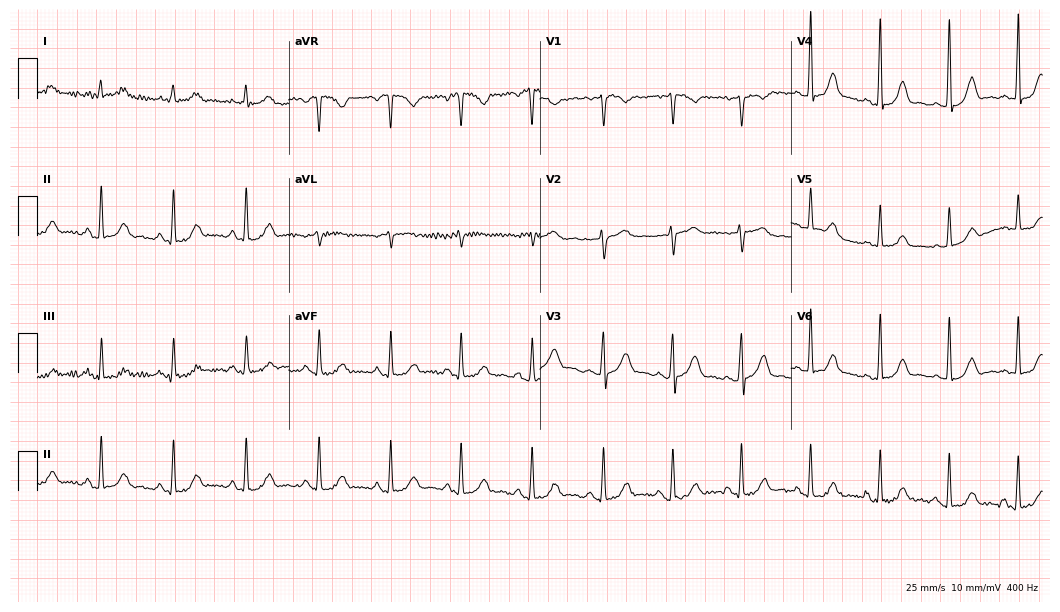
Electrocardiogram (10.2-second recording at 400 Hz), a woman, 44 years old. Overall reading on record: normal ECG.